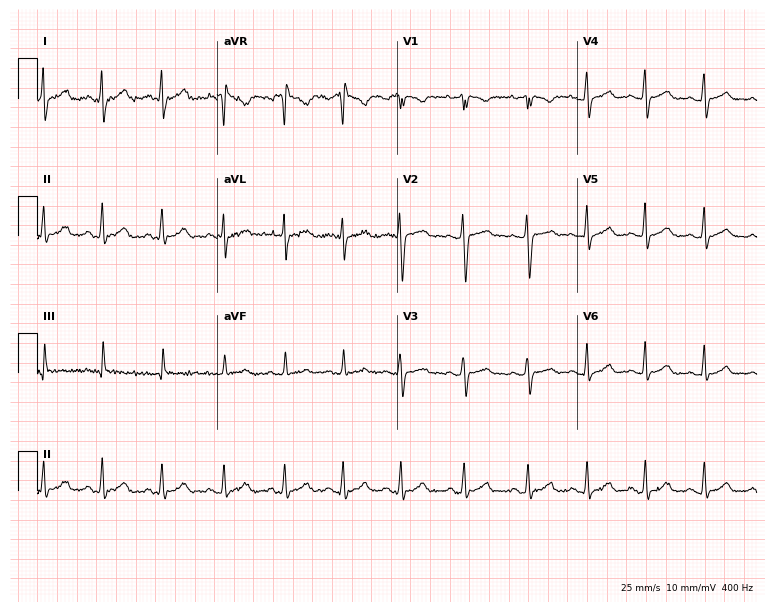
12-lead ECG from a 23-year-old woman. Labelled as a normal ECG.